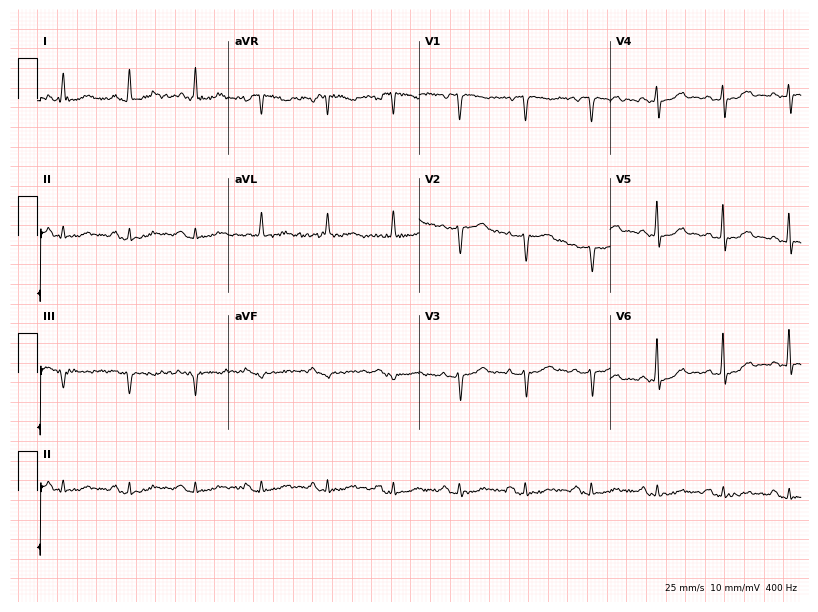
Resting 12-lead electrocardiogram (7.8-second recording at 400 Hz). Patient: a man, 71 years old. None of these six findings is recorded: first-degree AV block, right bundle branch block, left bundle branch block, sinus bradycardia, atrial fibrillation, sinus tachycardia.